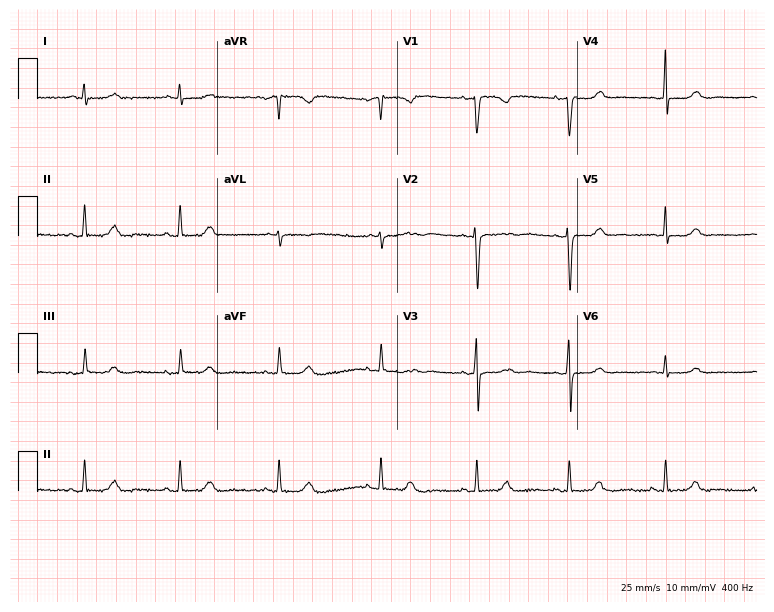
ECG — a 39-year-old woman. Screened for six findings — first-degree AV block, right bundle branch block, left bundle branch block, sinus bradycardia, atrial fibrillation, sinus tachycardia — none is recorded.